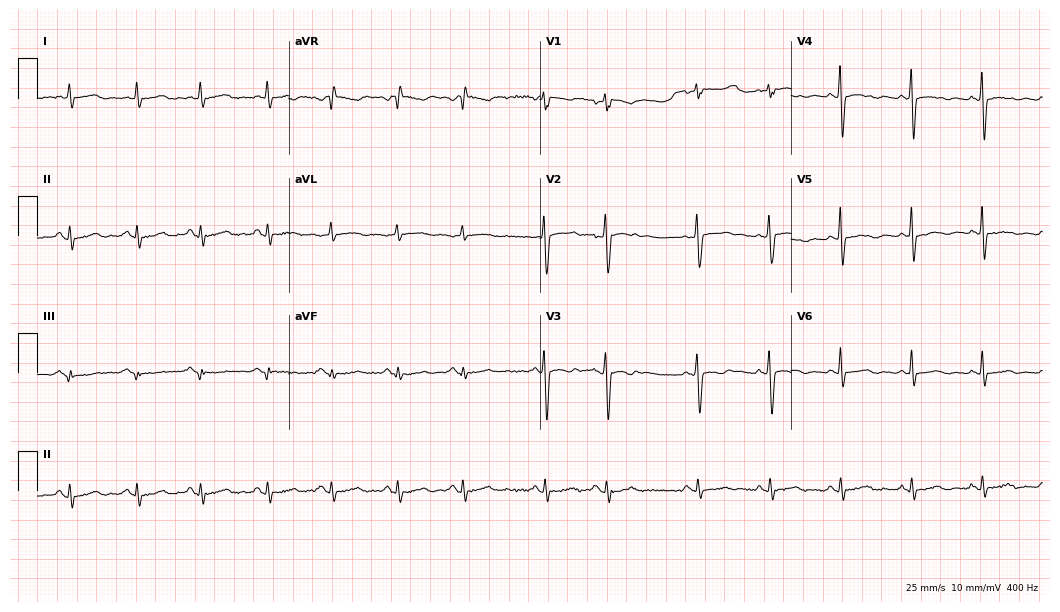
12-lead ECG (10.2-second recording at 400 Hz) from a female patient, 54 years old. Screened for six findings — first-degree AV block, right bundle branch block, left bundle branch block, sinus bradycardia, atrial fibrillation, sinus tachycardia — none is recorded.